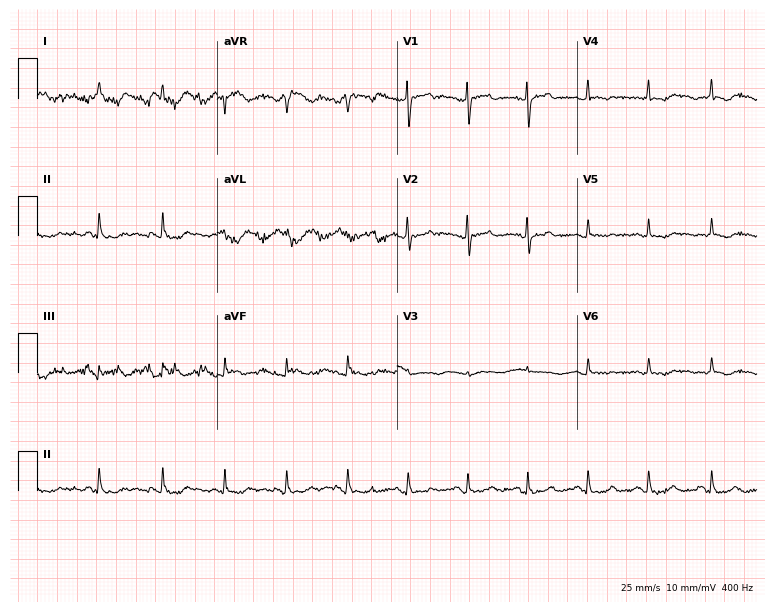
Electrocardiogram, a 62-year-old female. Of the six screened findings (first-degree AV block, right bundle branch block (RBBB), left bundle branch block (LBBB), sinus bradycardia, atrial fibrillation (AF), sinus tachycardia), none is recorded. Only these six findings were labelled.